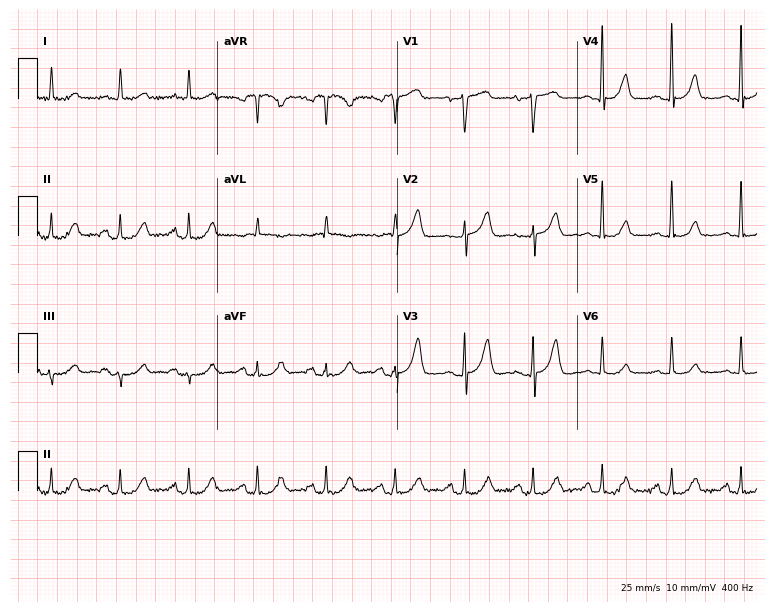
Standard 12-lead ECG recorded from a woman, 77 years old (7.3-second recording at 400 Hz). None of these six findings is recorded: first-degree AV block, right bundle branch block, left bundle branch block, sinus bradycardia, atrial fibrillation, sinus tachycardia. Other findings, if any, are not listed.